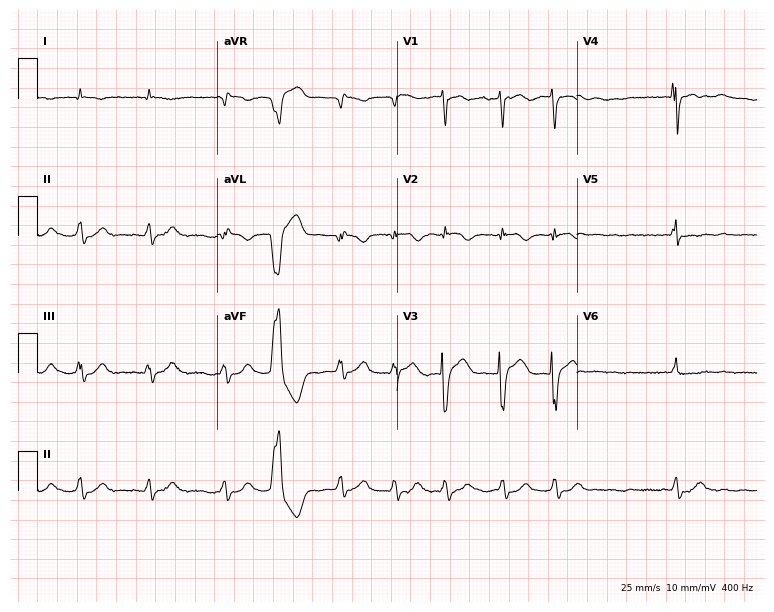
Resting 12-lead electrocardiogram (7.3-second recording at 400 Hz). Patient: a male, 62 years old. The tracing shows atrial fibrillation.